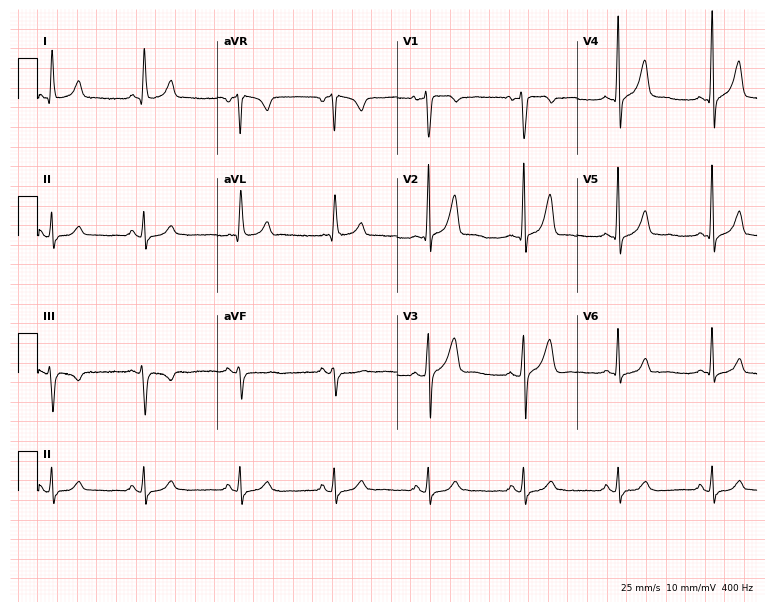
12-lead ECG from a 57-year-old man (7.3-second recording at 400 Hz). Recorded interpretation: within normal limits.